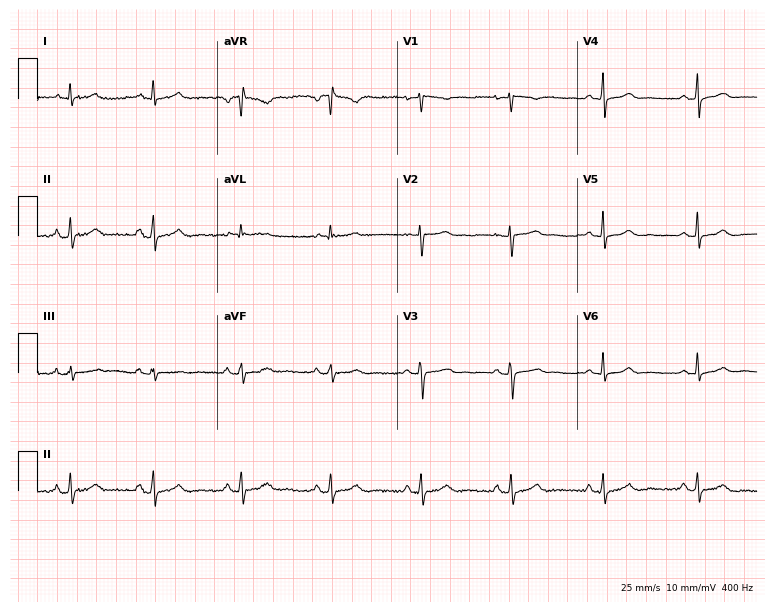
Resting 12-lead electrocardiogram. Patient: a female, 39 years old. None of these six findings is recorded: first-degree AV block, right bundle branch block, left bundle branch block, sinus bradycardia, atrial fibrillation, sinus tachycardia. Only these six findings were labelled.